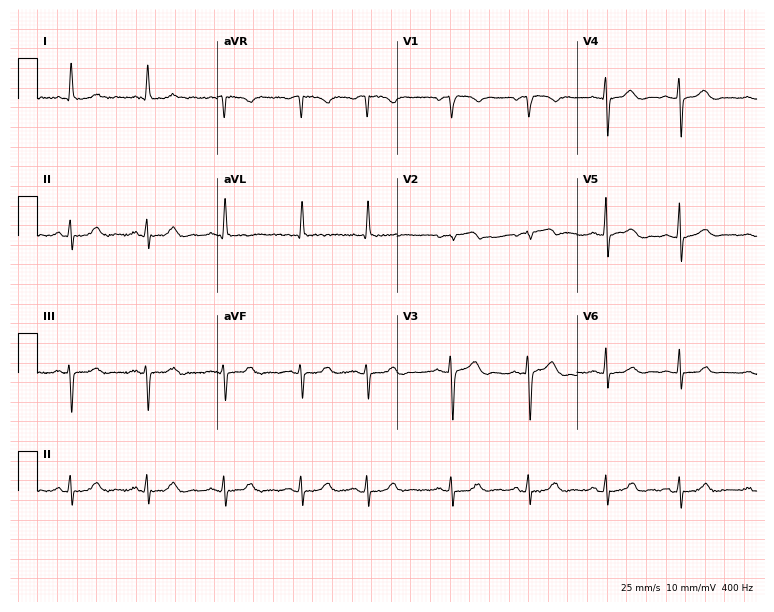
12-lead ECG (7.3-second recording at 400 Hz) from a 74-year-old male patient. Labelled as a normal ECG.